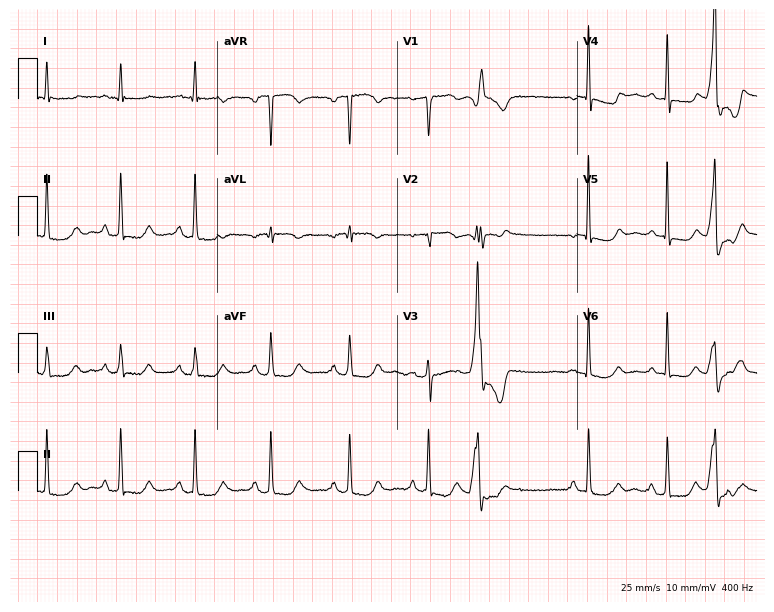
12-lead ECG from a 79-year-old man. No first-degree AV block, right bundle branch block (RBBB), left bundle branch block (LBBB), sinus bradycardia, atrial fibrillation (AF) or sinus tachycardia recorded for this tracing.